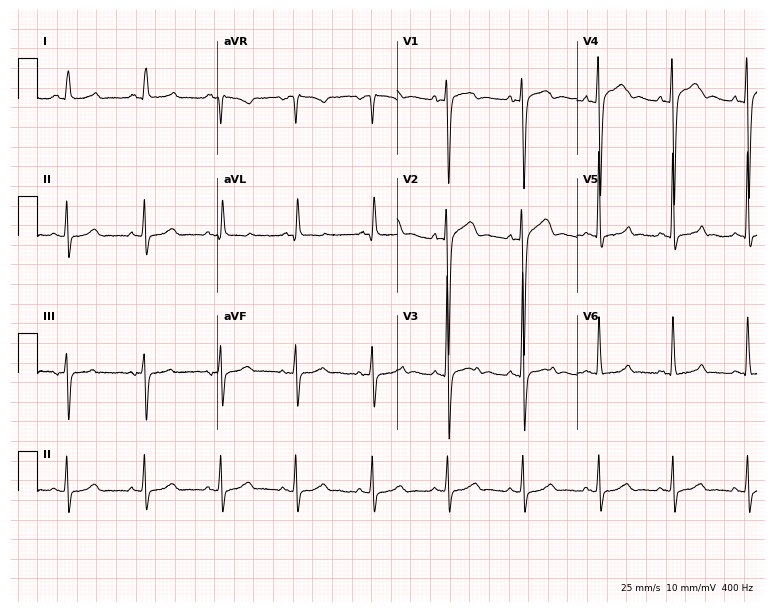
Standard 12-lead ECG recorded from a woman, 69 years old. Read as a normal ECG.